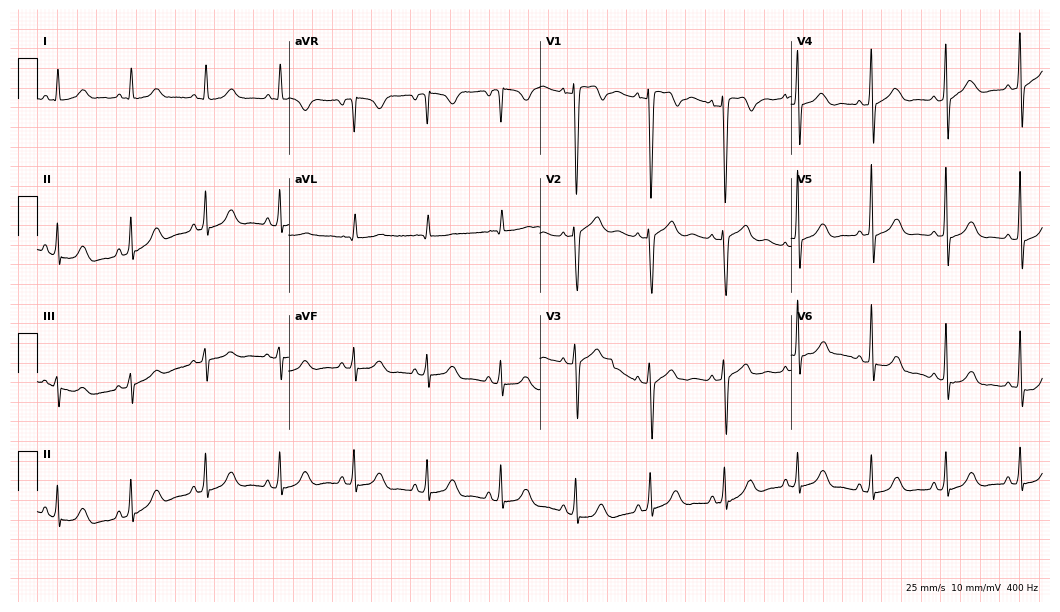
12-lead ECG from a woman, 66 years old (10.2-second recording at 400 Hz). Recorded interpretation: within normal limits.